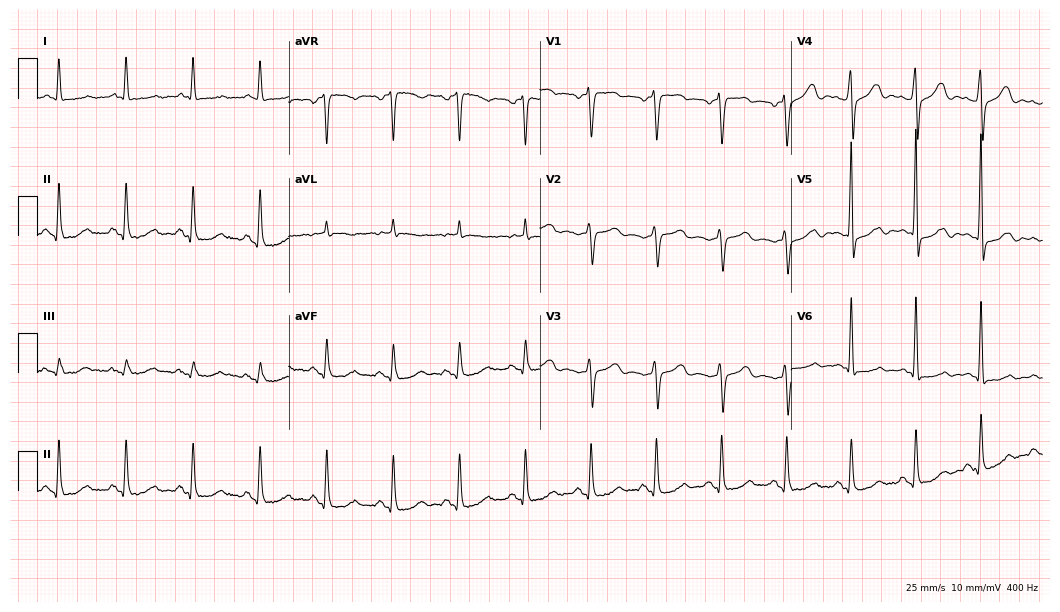
12-lead ECG (10.2-second recording at 400 Hz) from a woman, 69 years old. Screened for six findings — first-degree AV block, right bundle branch block, left bundle branch block, sinus bradycardia, atrial fibrillation, sinus tachycardia — none is recorded.